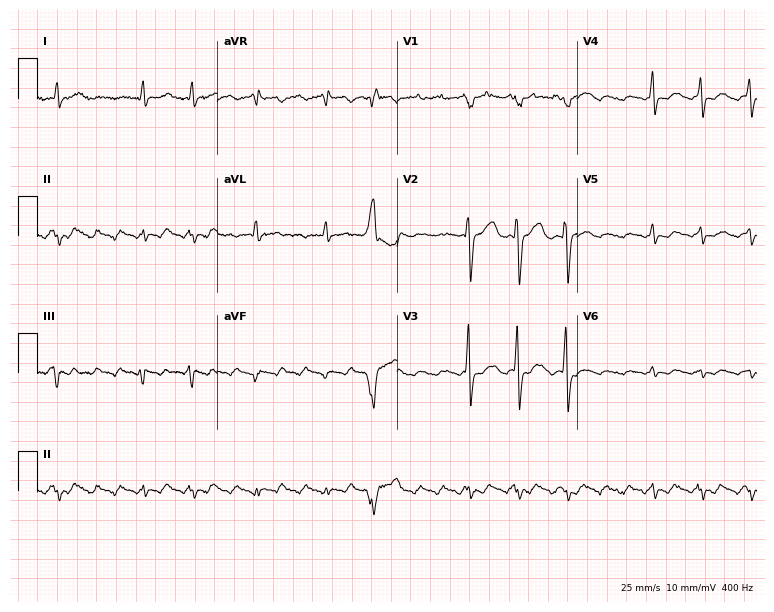
Standard 12-lead ECG recorded from a male patient, 58 years old (7.3-second recording at 400 Hz). None of these six findings is recorded: first-degree AV block, right bundle branch block, left bundle branch block, sinus bradycardia, atrial fibrillation, sinus tachycardia. Only these six findings were labelled.